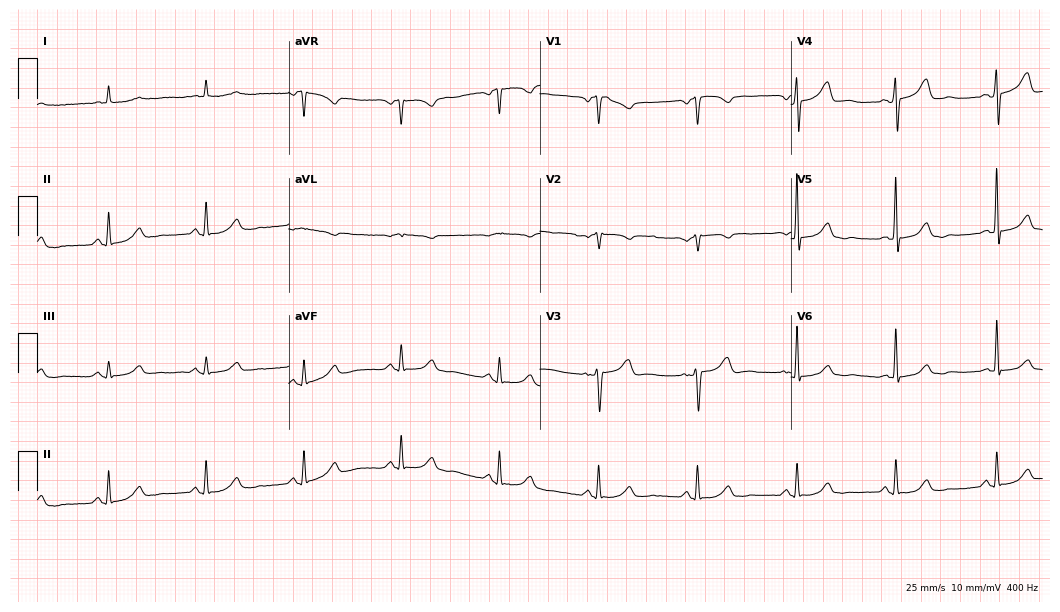
Standard 12-lead ECG recorded from an 80-year-old male (10.2-second recording at 400 Hz). Read as a normal ECG.